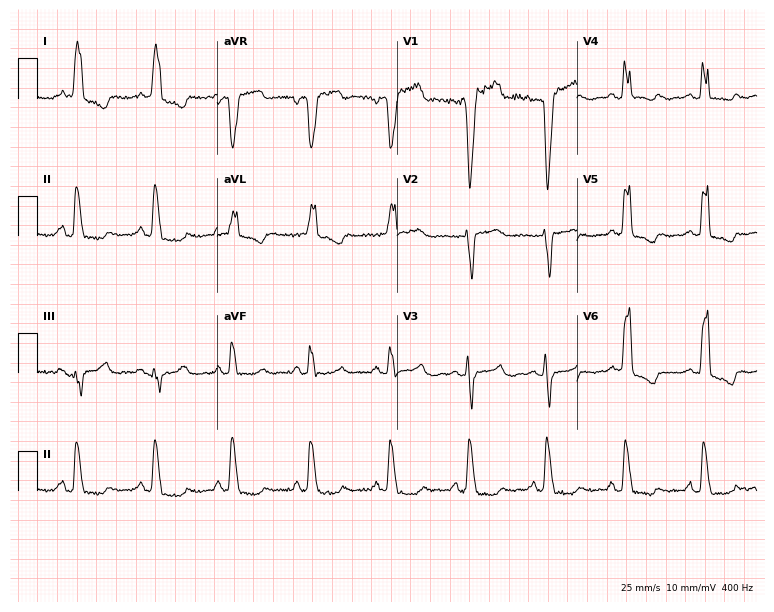
Resting 12-lead electrocardiogram. Patient: a 73-year-old female. The tracing shows left bundle branch block.